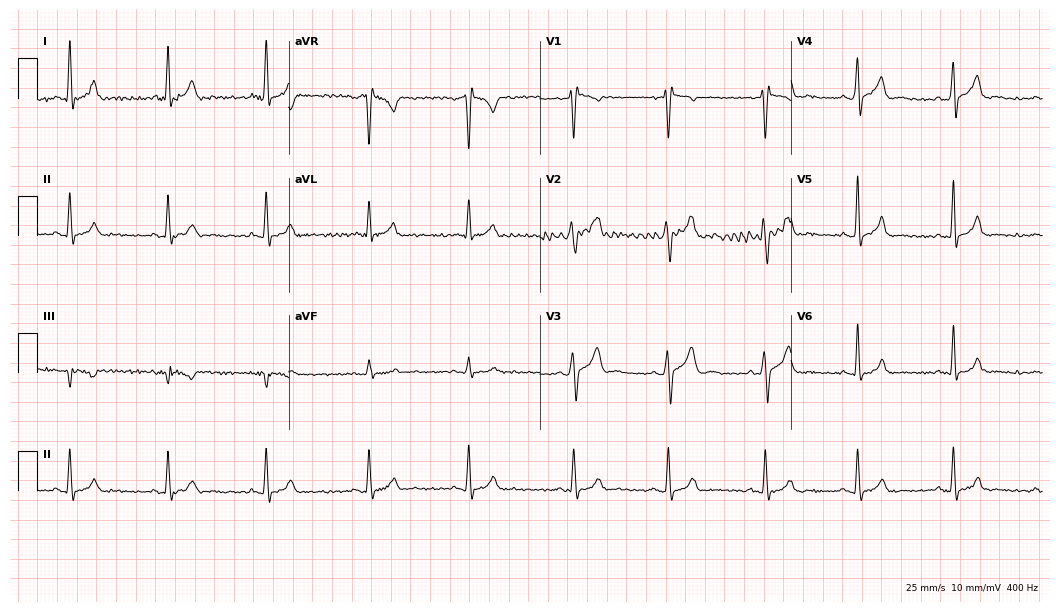
Electrocardiogram (10.2-second recording at 400 Hz), a man, 24 years old. Overall reading on record: normal ECG.